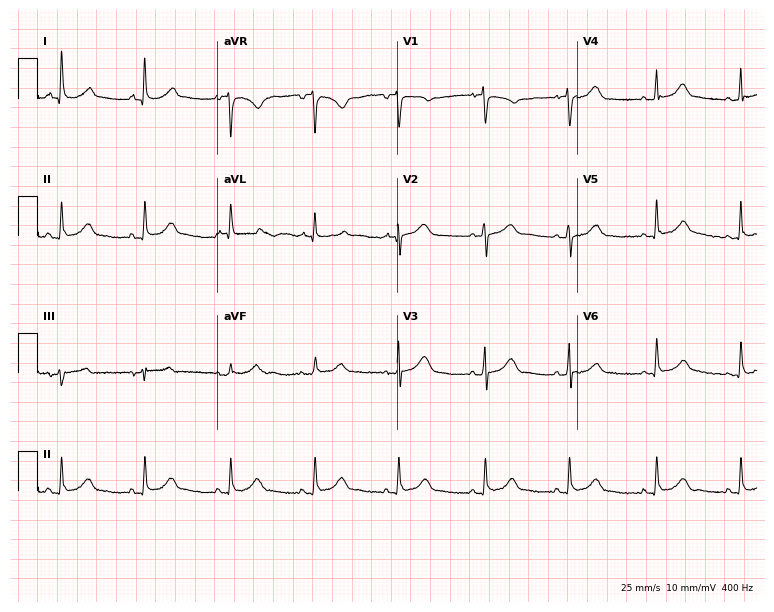
12-lead ECG from a female, 73 years old. Screened for six findings — first-degree AV block, right bundle branch block, left bundle branch block, sinus bradycardia, atrial fibrillation, sinus tachycardia — none is recorded.